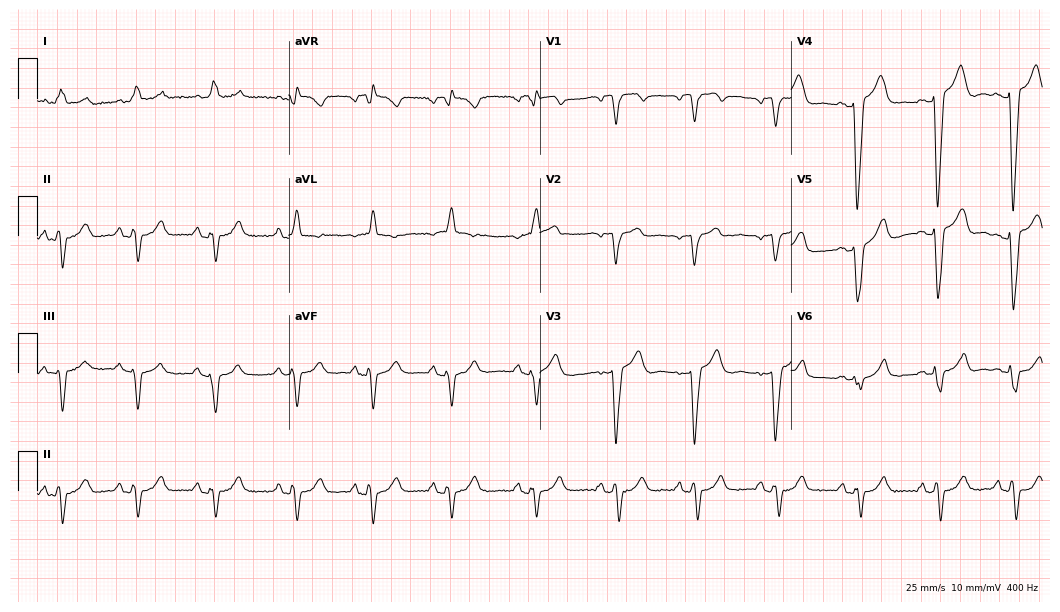
Resting 12-lead electrocardiogram (10.2-second recording at 400 Hz). Patient: a female, 58 years old. None of these six findings is recorded: first-degree AV block, right bundle branch block, left bundle branch block, sinus bradycardia, atrial fibrillation, sinus tachycardia.